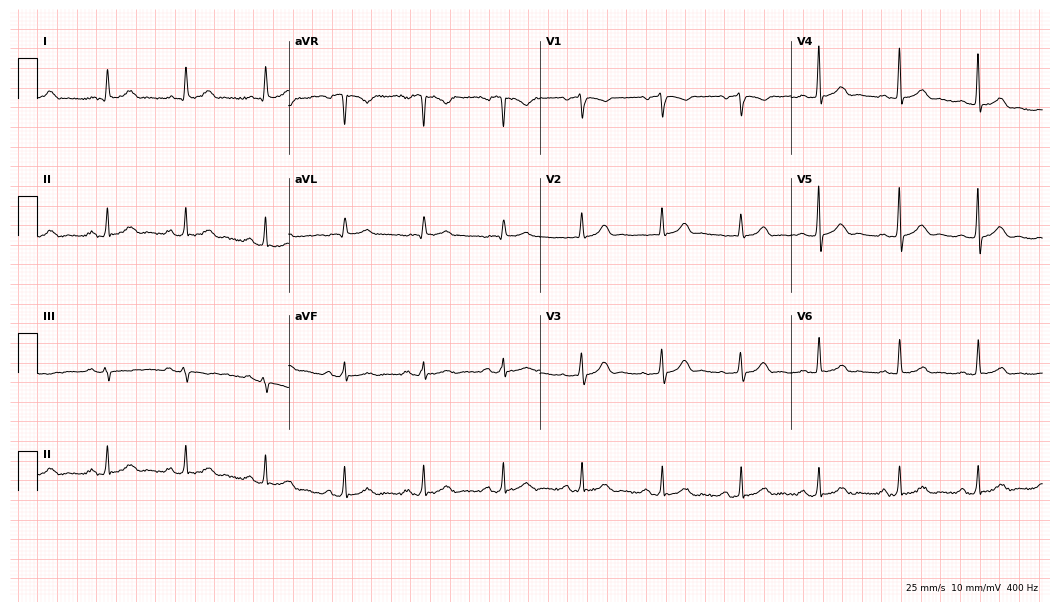
Standard 12-lead ECG recorded from a male patient, 76 years old (10.2-second recording at 400 Hz). Read as a normal ECG.